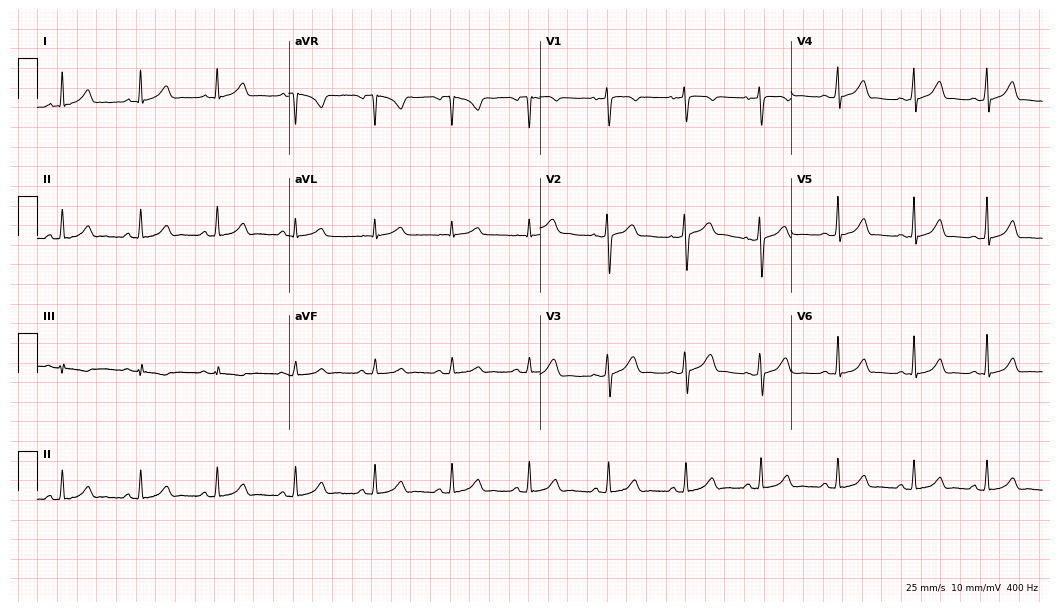
Standard 12-lead ECG recorded from a 35-year-old woman (10.2-second recording at 400 Hz). Read as a normal ECG.